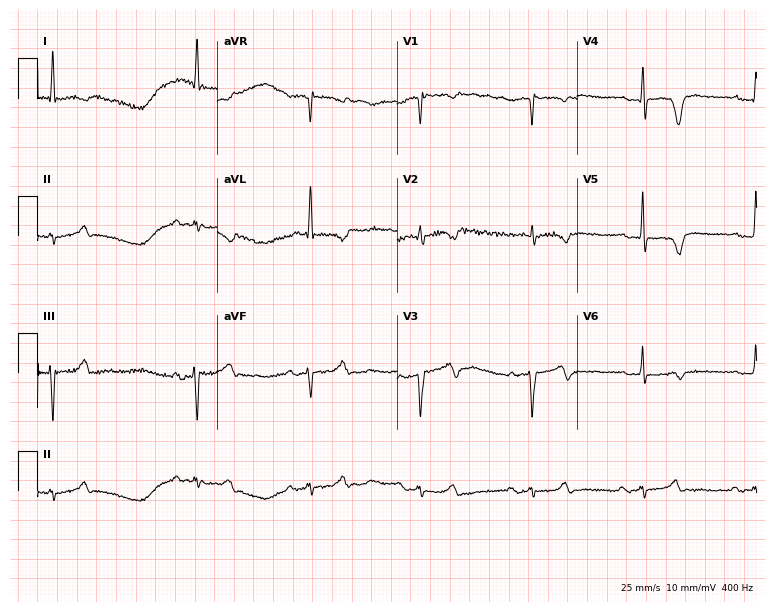
ECG (7.3-second recording at 400 Hz) — a female, 83 years old. Findings include first-degree AV block.